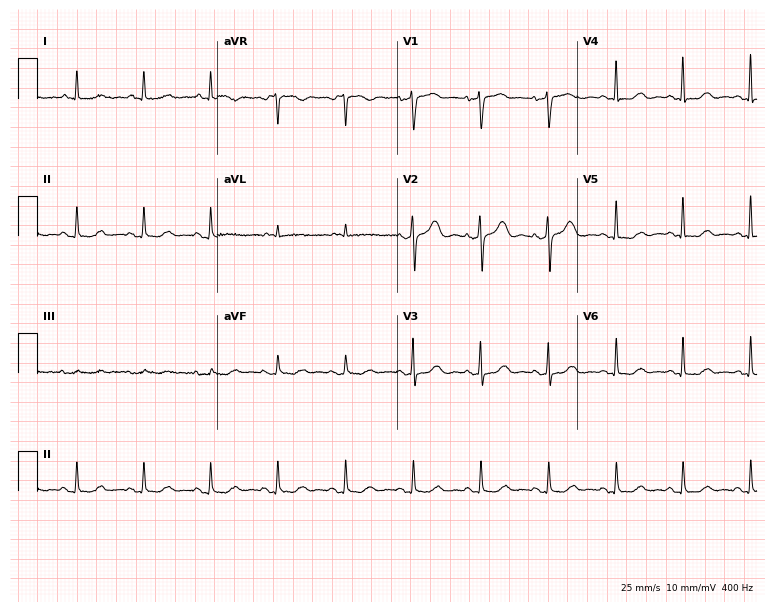
Electrocardiogram, a woman, 71 years old. Of the six screened findings (first-degree AV block, right bundle branch block, left bundle branch block, sinus bradycardia, atrial fibrillation, sinus tachycardia), none is recorded.